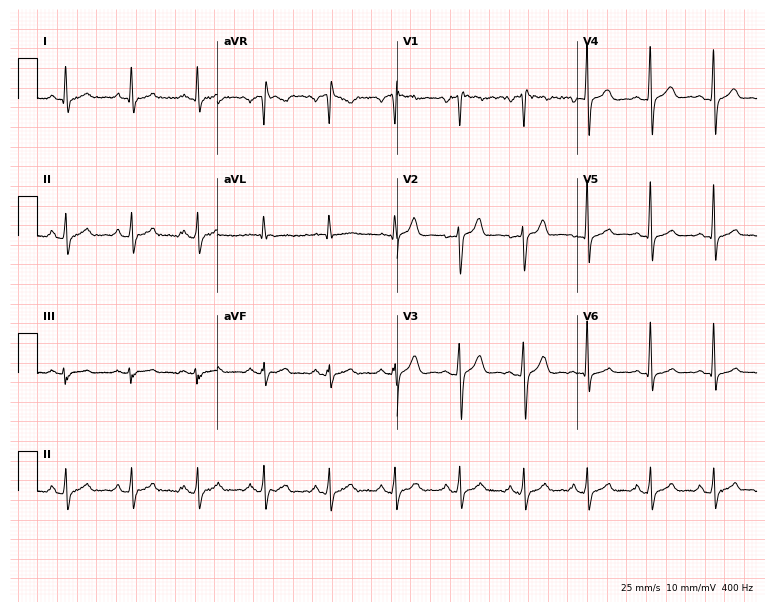
Resting 12-lead electrocardiogram (7.3-second recording at 400 Hz). Patient: a 35-year-old male. None of these six findings is recorded: first-degree AV block, right bundle branch block (RBBB), left bundle branch block (LBBB), sinus bradycardia, atrial fibrillation (AF), sinus tachycardia.